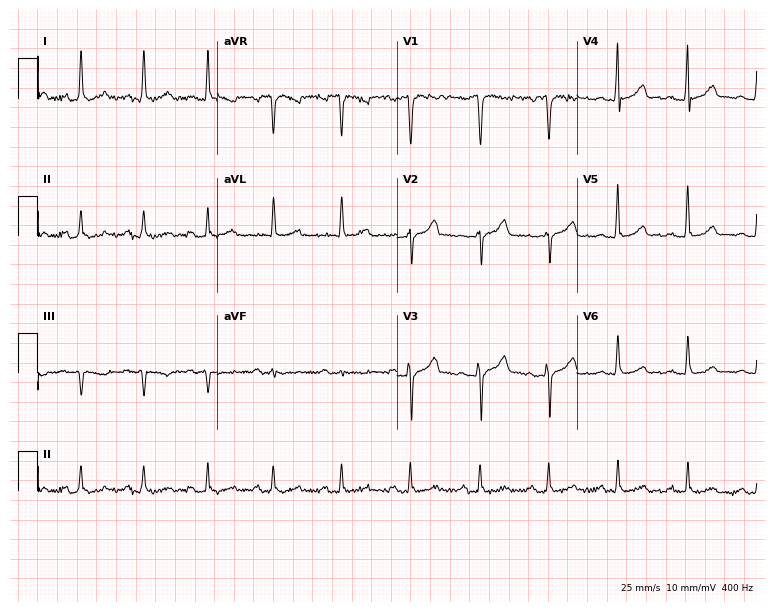
ECG — a 40-year-old male patient. Labelled as a normal ECG.